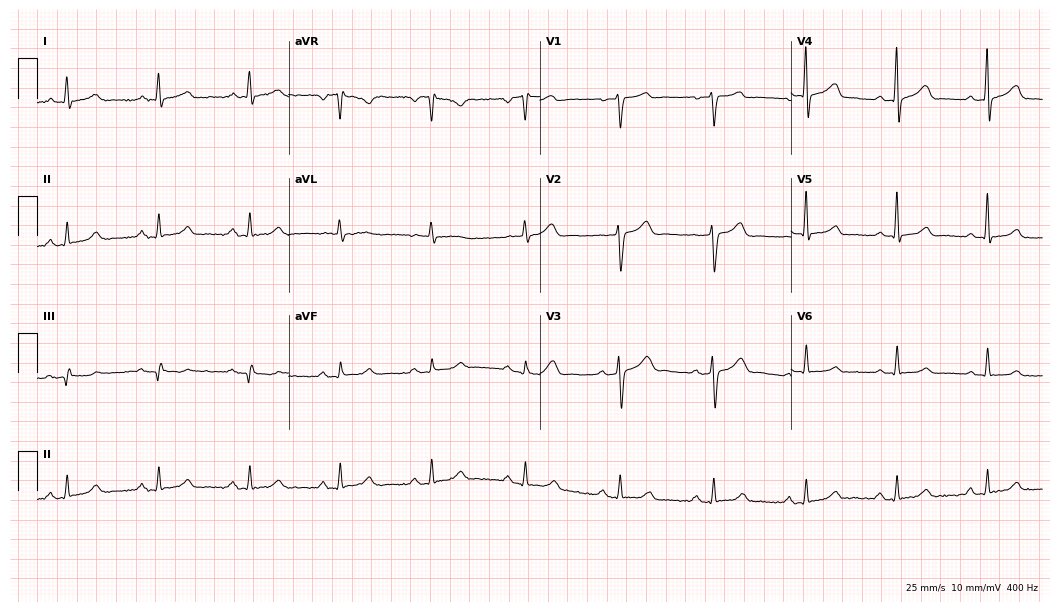
Electrocardiogram, a woman, 56 years old. Overall reading on record: normal ECG.